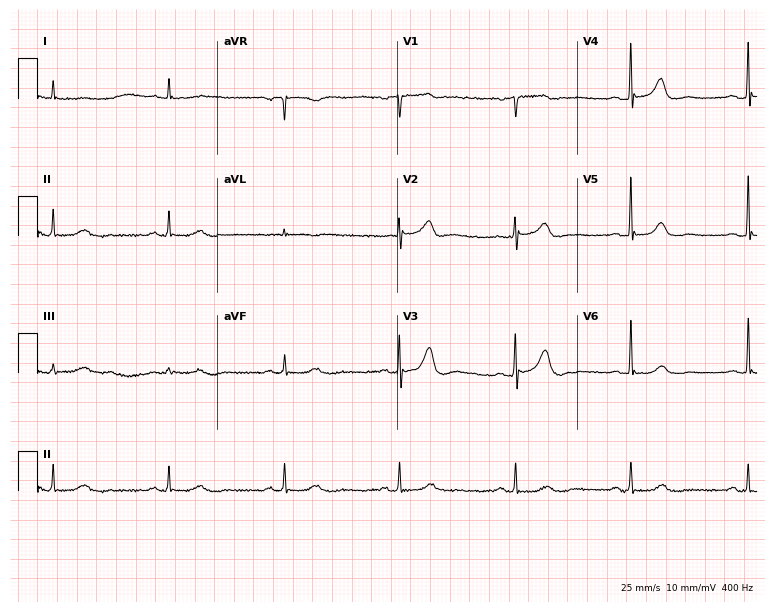
ECG (7.3-second recording at 400 Hz) — a male, 85 years old. Screened for six findings — first-degree AV block, right bundle branch block, left bundle branch block, sinus bradycardia, atrial fibrillation, sinus tachycardia — none is recorded.